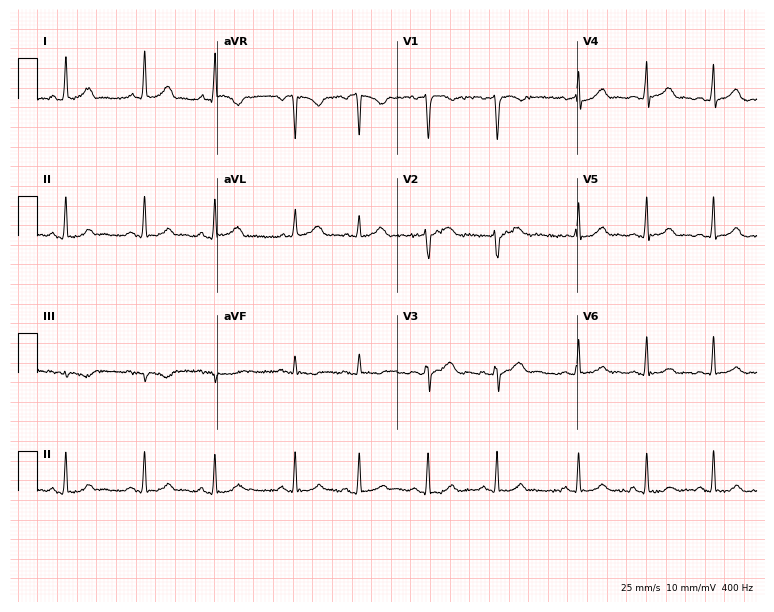
12-lead ECG from a female patient, 34 years old. Recorded interpretation: within normal limits.